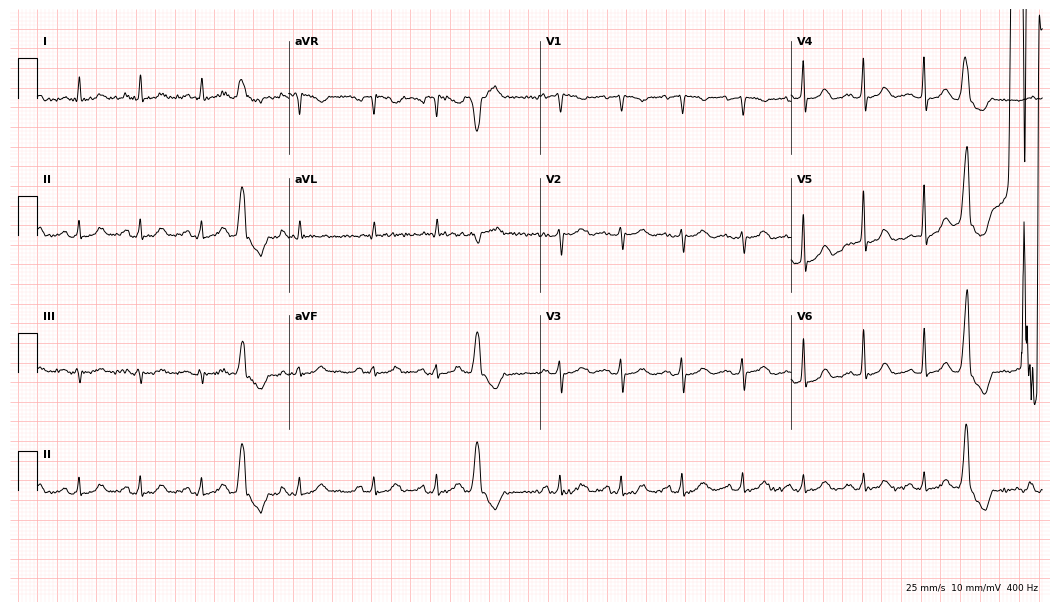
12-lead ECG from a woman, 84 years old. Recorded interpretation: within normal limits.